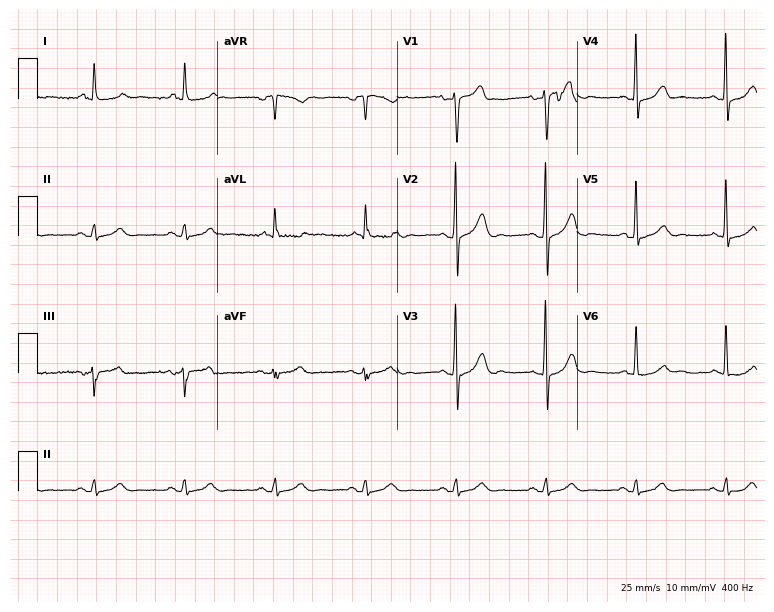
12-lead ECG from a male, 61 years old. Recorded interpretation: within normal limits.